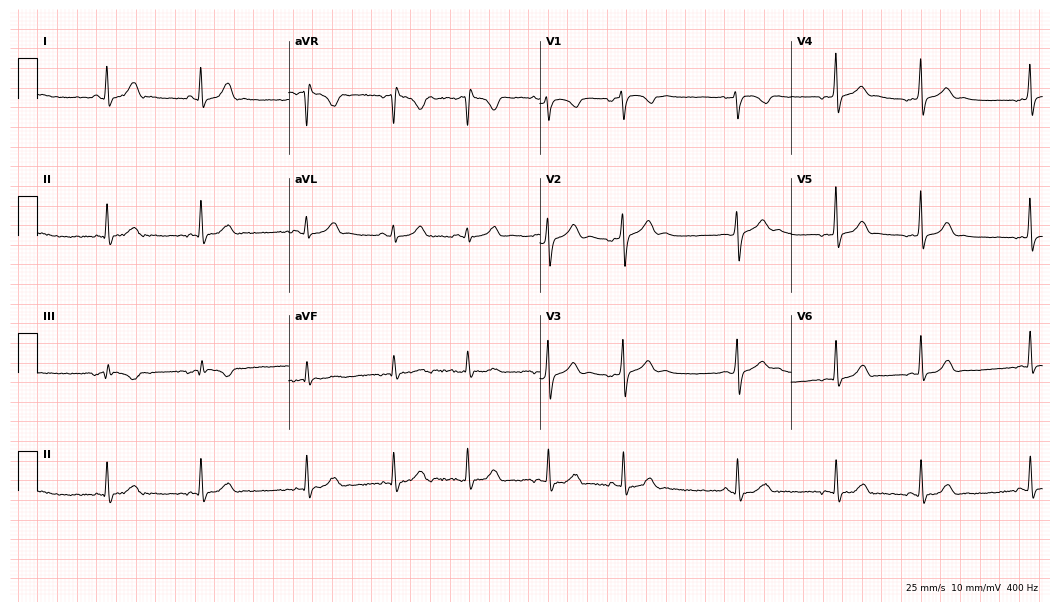
Resting 12-lead electrocardiogram (10.2-second recording at 400 Hz). Patient: a woman, 18 years old. None of these six findings is recorded: first-degree AV block, right bundle branch block, left bundle branch block, sinus bradycardia, atrial fibrillation, sinus tachycardia. Other findings, if any, are not listed.